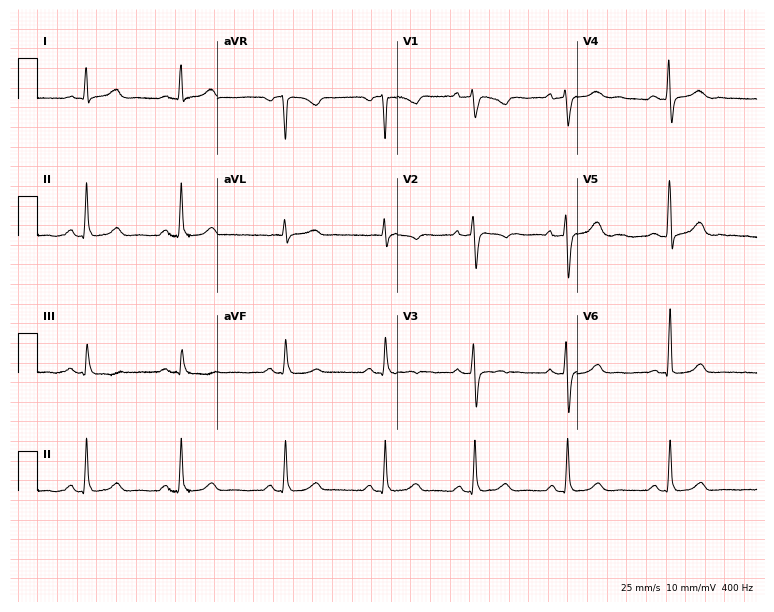
Electrocardiogram (7.3-second recording at 400 Hz), a woman, 47 years old. Overall reading on record: normal ECG.